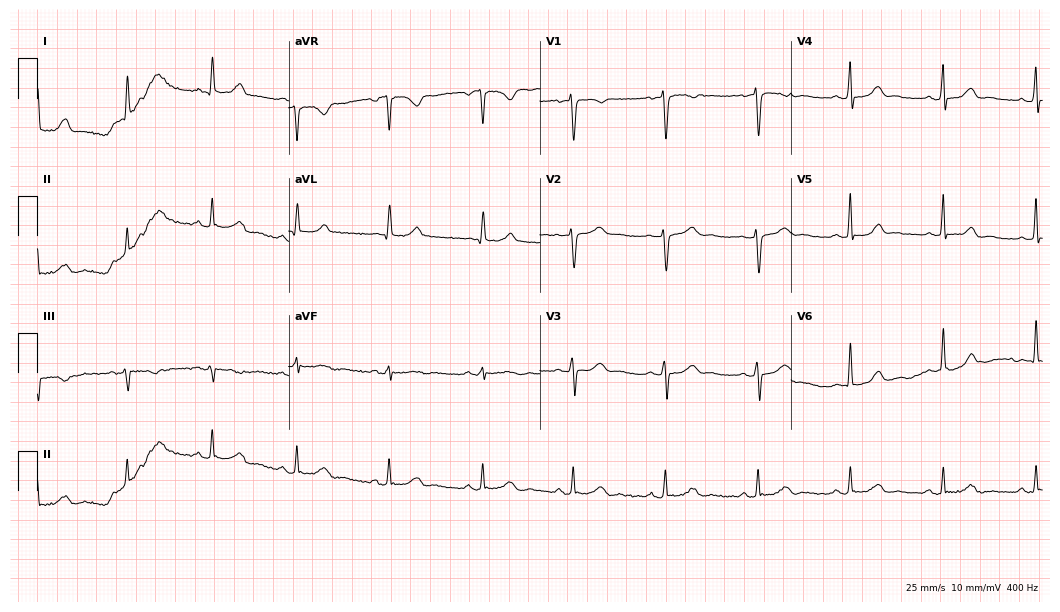
Electrocardiogram, a 41-year-old woman. Overall reading on record: normal ECG.